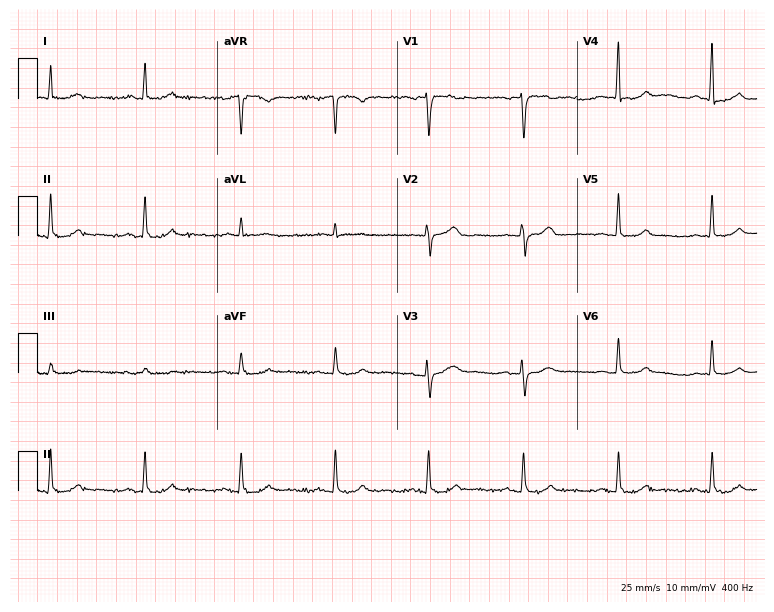
12-lead ECG from a female, 62 years old. Recorded interpretation: within normal limits.